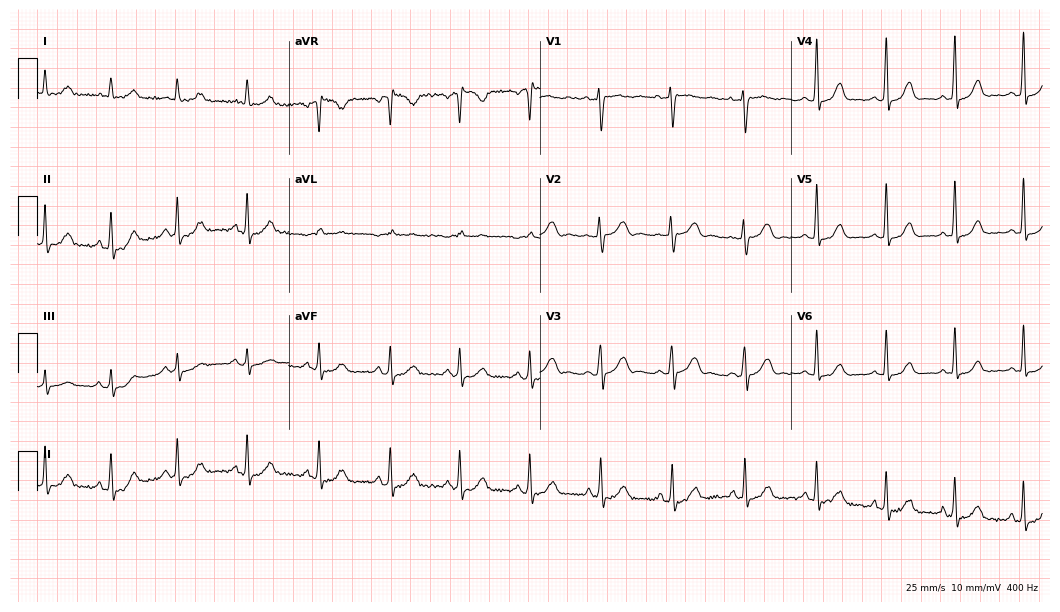
ECG (10.2-second recording at 400 Hz) — a female patient, 35 years old. Labelled as a normal ECG.